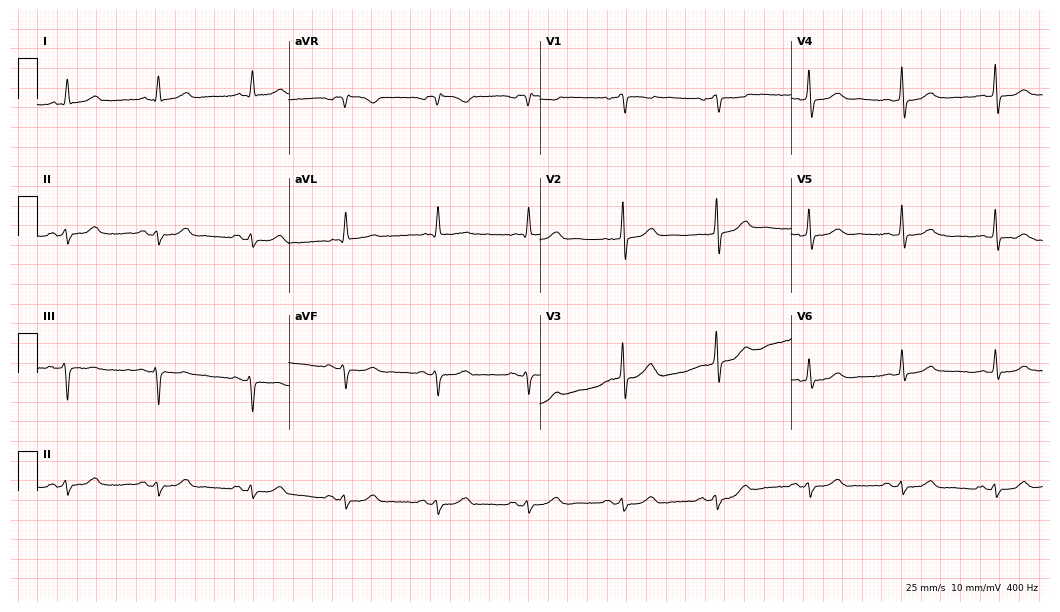
12-lead ECG from an 80-year-old male. Labelled as a normal ECG.